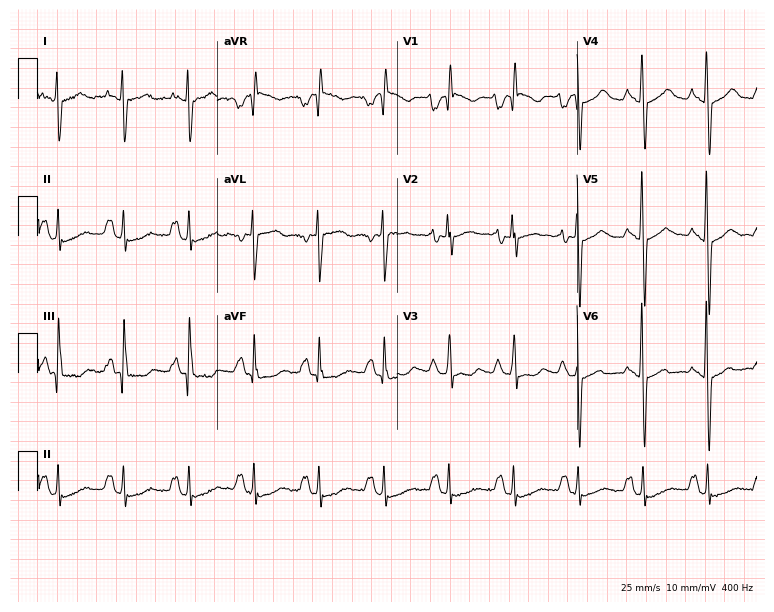
12-lead ECG from a 35-year-old man. No first-degree AV block, right bundle branch block (RBBB), left bundle branch block (LBBB), sinus bradycardia, atrial fibrillation (AF) or sinus tachycardia recorded for this tracing.